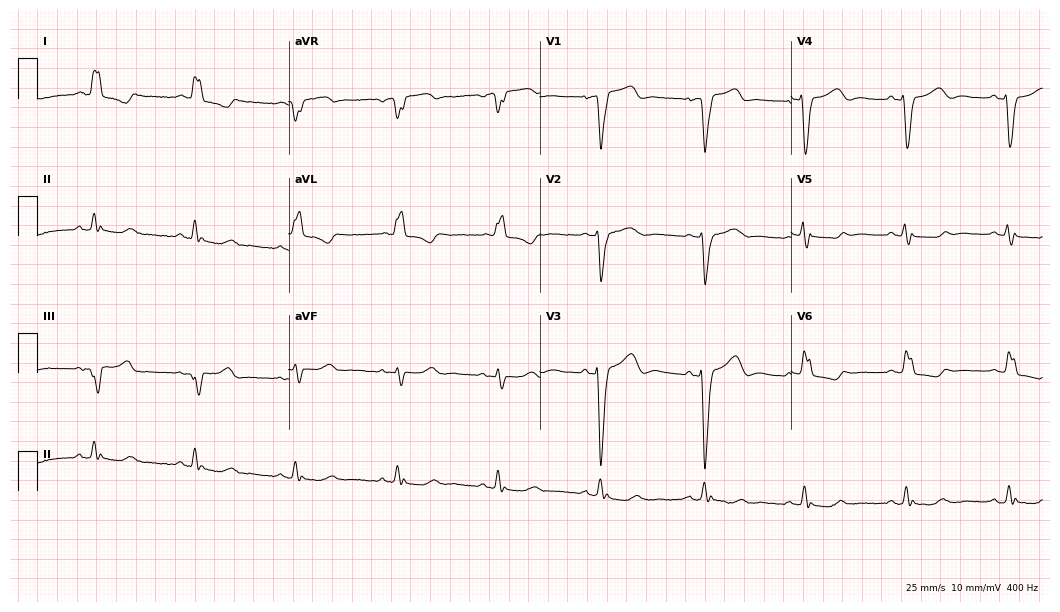
Electrocardiogram, a female patient, 74 years old. Interpretation includes left bundle branch block (LBBB).